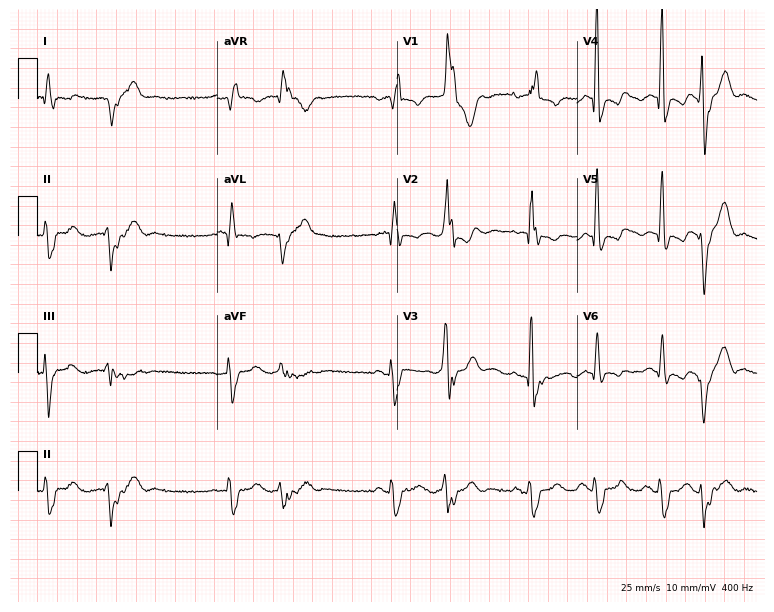
Electrocardiogram, a 67-year-old woman. Interpretation includes right bundle branch block.